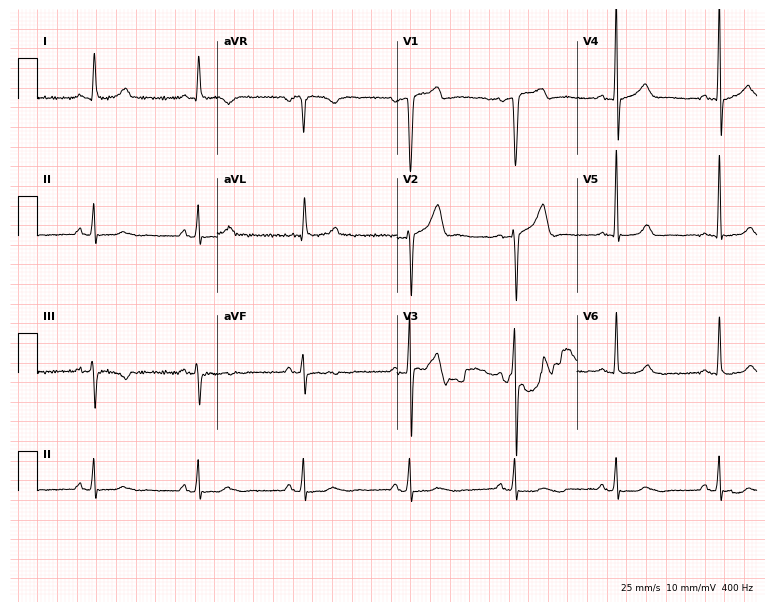
Electrocardiogram (7.3-second recording at 400 Hz), a 49-year-old man. Of the six screened findings (first-degree AV block, right bundle branch block (RBBB), left bundle branch block (LBBB), sinus bradycardia, atrial fibrillation (AF), sinus tachycardia), none is recorded.